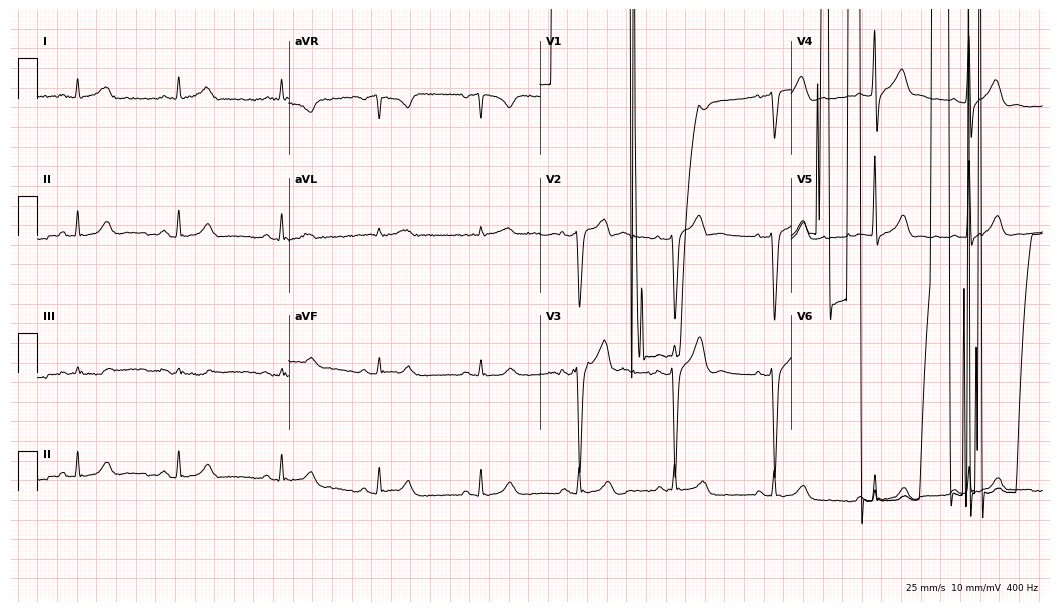
Electrocardiogram, a 42-year-old man. Of the six screened findings (first-degree AV block, right bundle branch block (RBBB), left bundle branch block (LBBB), sinus bradycardia, atrial fibrillation (AF), sinus tachycardia), none is recorded.